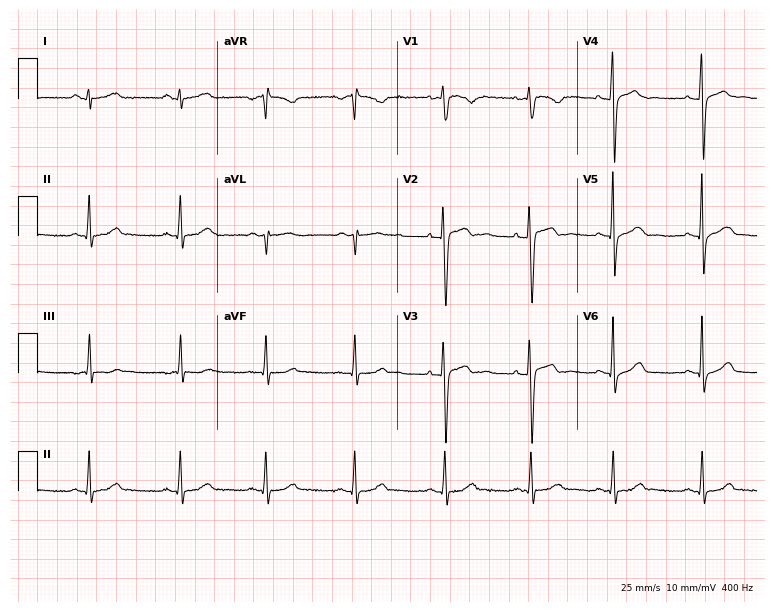
12-lead ECG from a 32-year-old female (7.3-second recording at 400 Hz). No first-degree AV block, right bundle branch block, left bundle branch block, sinus bradycardia, atrial fibrillation or sinus tachycardia recorded for this tracing.